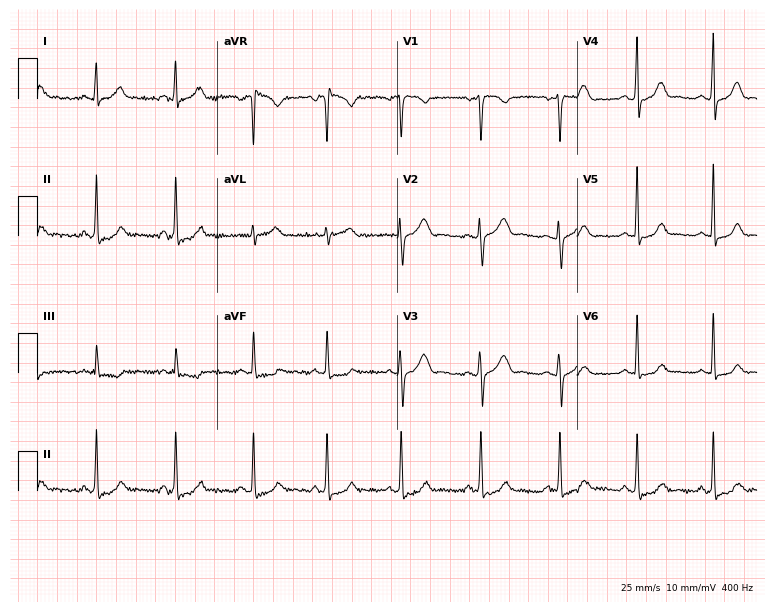
12-lead ECG from a 20-year-old female patient. No first-degree AV block, right bundle branch block (RBBB), left bundle branch block (LBBB), sinus bradycardia, atrial fibrillation (AF) or sinus tachycardia recorded for this tracing.